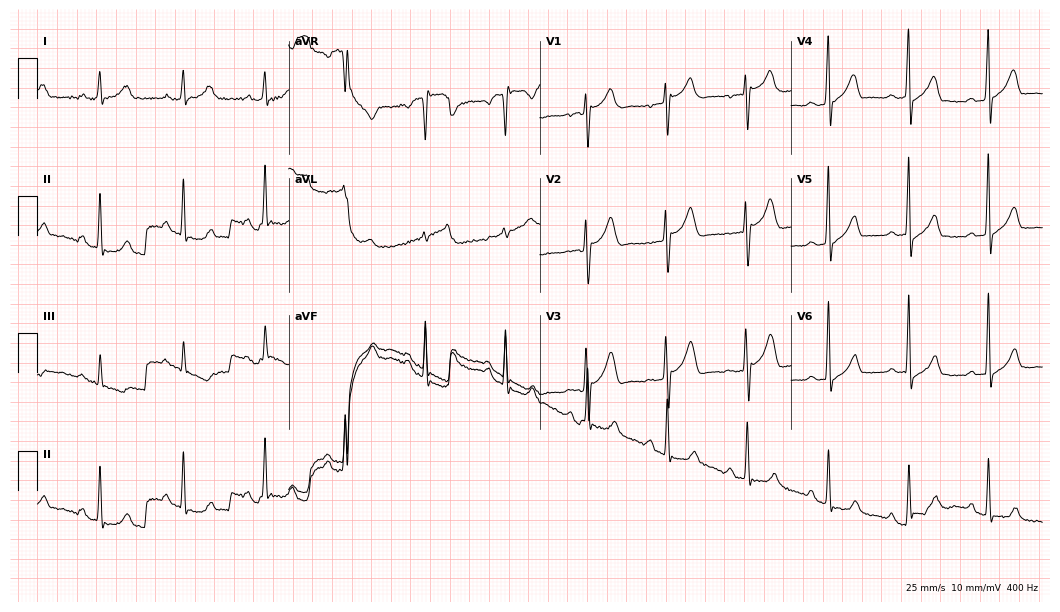
Resting 12-lead electrocardiogram (10.2-second recording at 400 Hz). Patient: a male, 33 years old. None of these six findings is recorded: first-degree AV block, right bundle branch block (RBBB), left bundle branch block (LBBB), sinus bradycardia, atrial fibrillation (AF), sinus tachycardia.